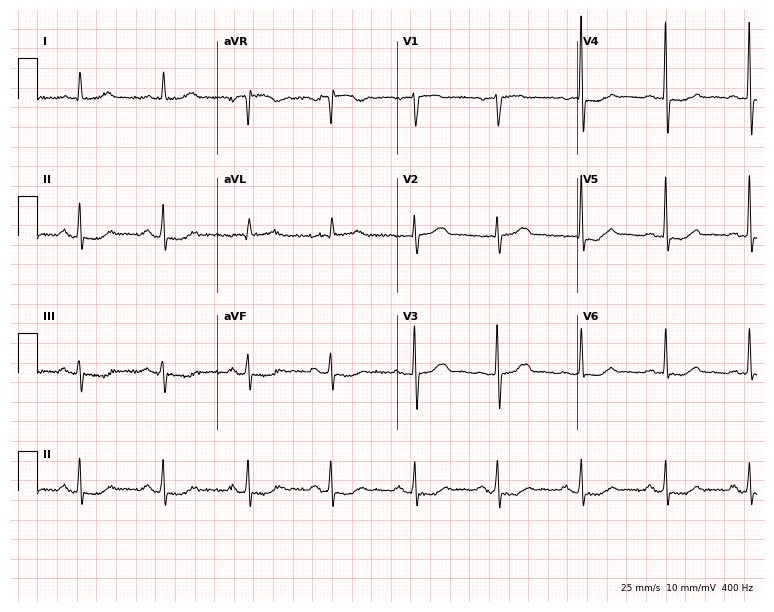
Standard 12-lead ECG recorded from a woman, 83 years old. None of these six findings is recorded: first-degree AV block, right bundle branch block, left bundle branch block, sinus bradycardia, atrial fibrillation, sinus tachycardia.